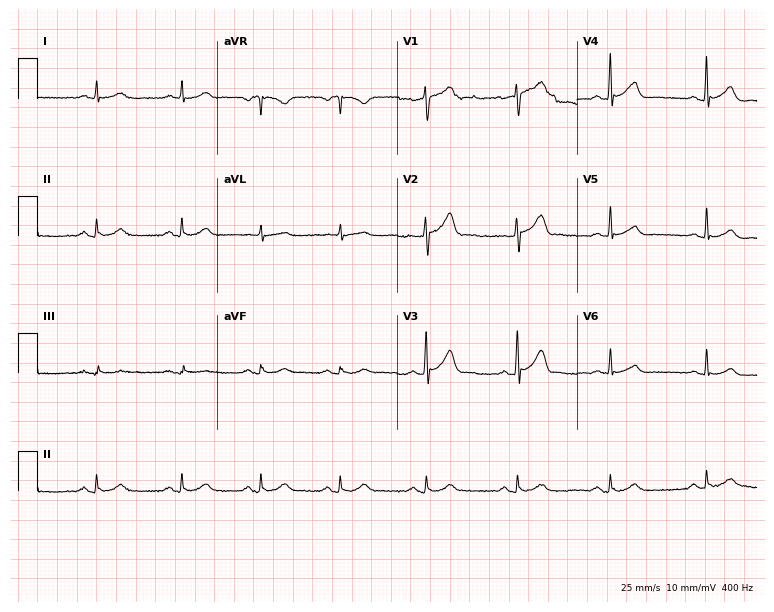
ECG — a 49-year-old man. Labelled as a normal ECG.